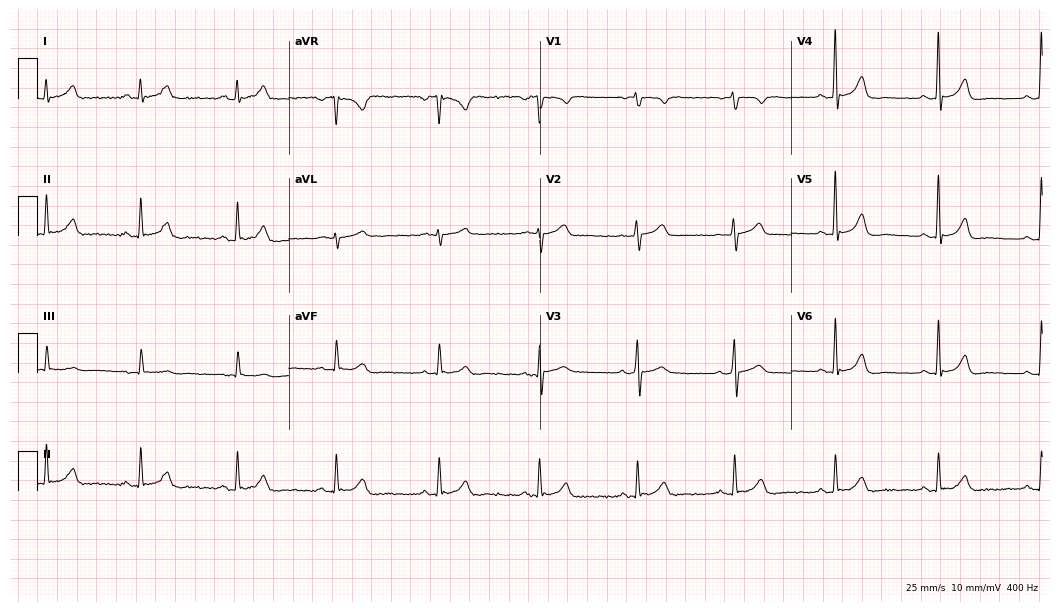
12-lead ECG from a male, 58 years old (10.2-second recording at 400 Hz). Recorded interpretation: within normal limits.